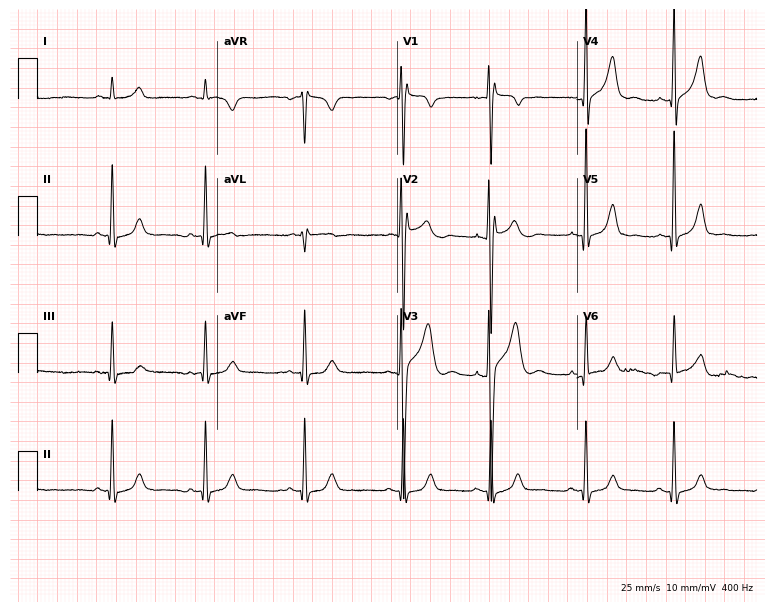
12-lead ECG from a 30-year-old male (7.3-second recording at 400 Hz). No first-degree AV block, right bundle branch block (RBBB), left bundle branch block (LBBB), sinus bradycardia, atrial fibrillation (AF) or sinus tachycardia recorded for this tracing.